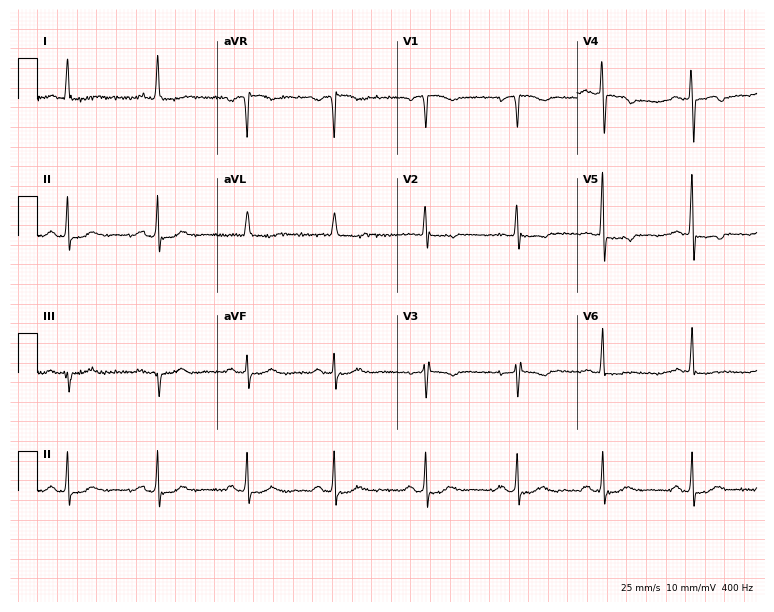
Resting 12-lead electrocardiogram. Patient: a 62-year-old female. None of these six findings is recorded: first-degree AV block, right bundle branch block, left bundle branch block, sinus bradycardia, atrial fibrillation, sinus tachycardia. Only these six findings were labelled.